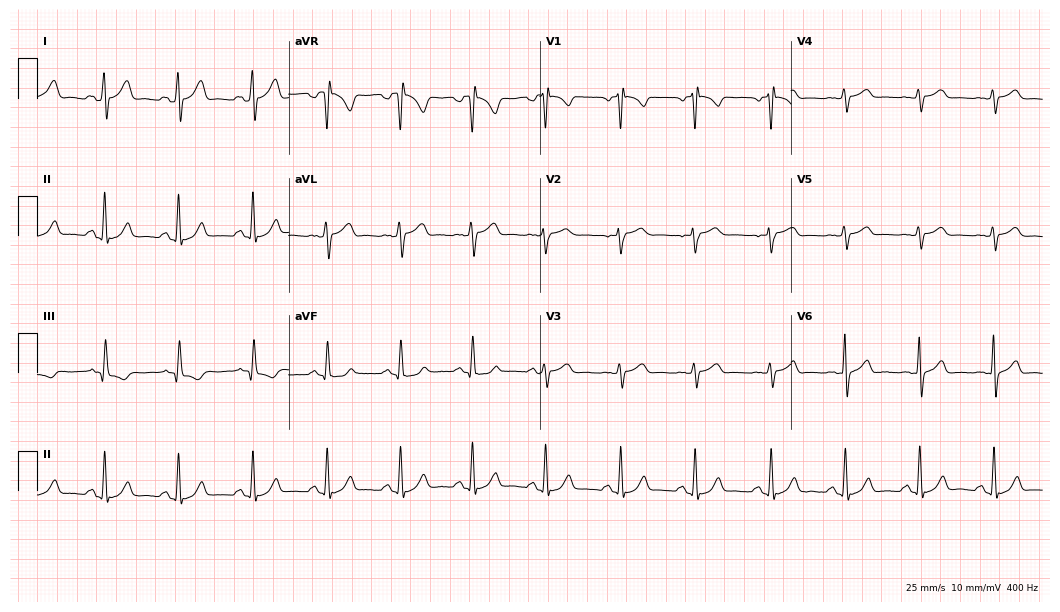
12-lead ECG (10.2-second recording at 400 Hz) from a 49-year-old male. Labelled as a normal ECG.